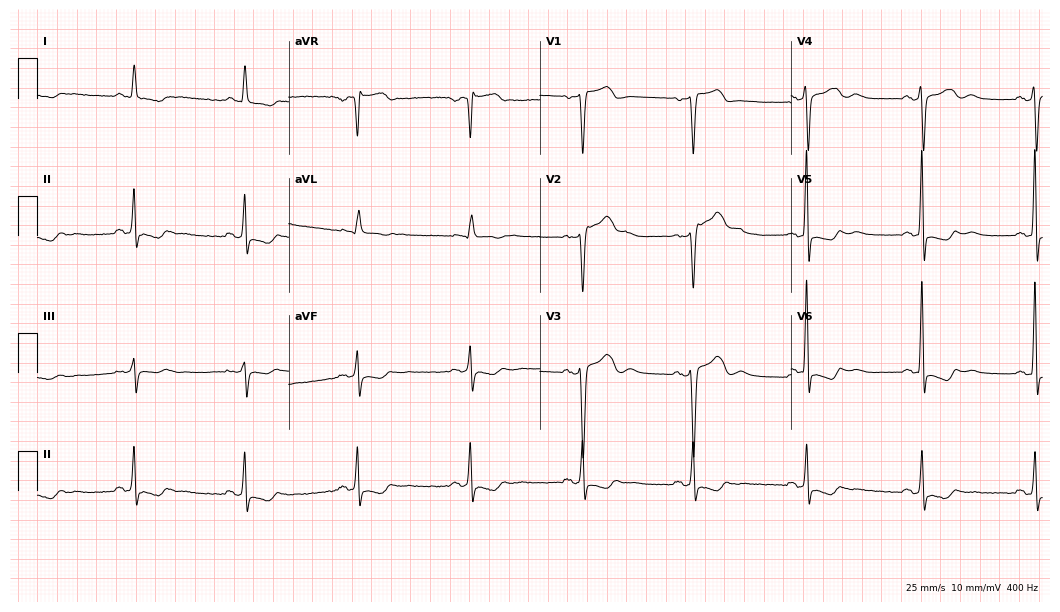
Standard 12-lead ECG recorded from a 53-year-old female (10.2-second recording at 400 Hz). None of these six findings is recorded: first-degree AV block, right bundle branch block, left bundle branch block, sinus bradycardia, atrial fibrillation, sinus tachycardia. Findings outside these six are not listed.